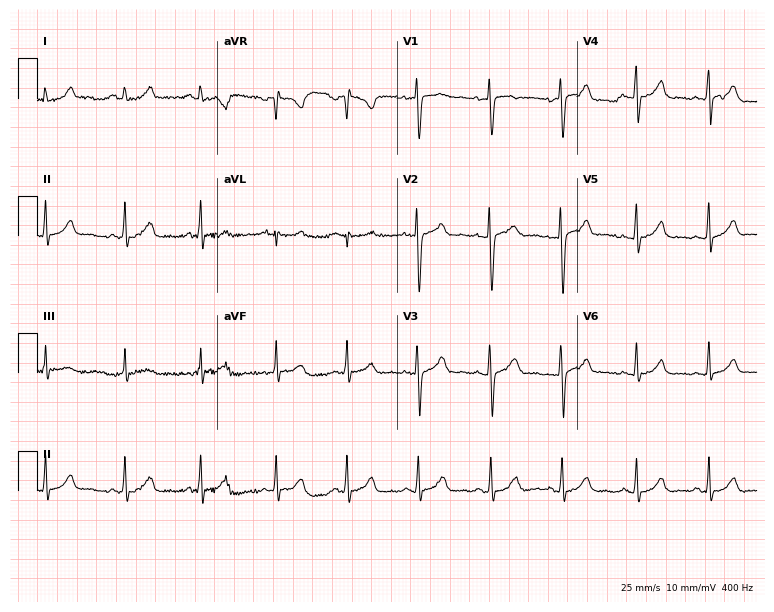
Standard 12-lead ECG recorded from a 26-year-old woman (7.3-second recording at 400 Hz). Read as a normal ECG.